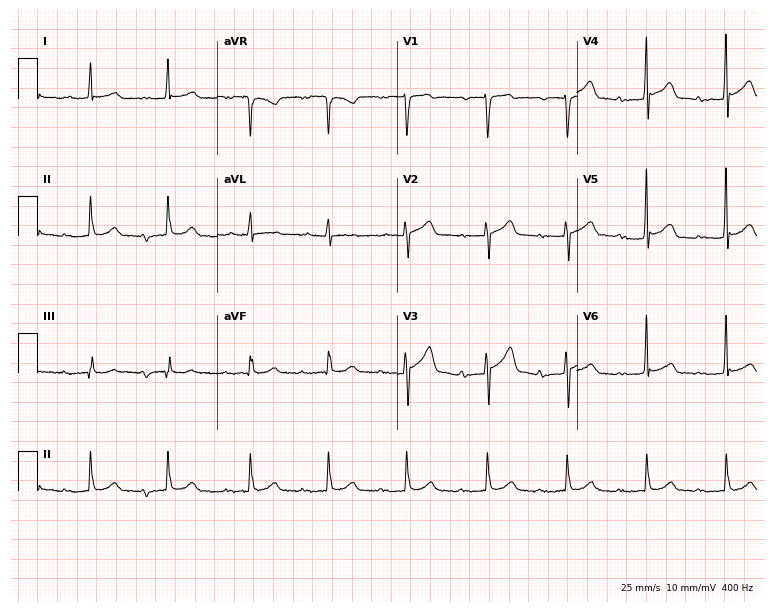
12-lead ECG from a male, 50 years old. Shows first-degree AV block.